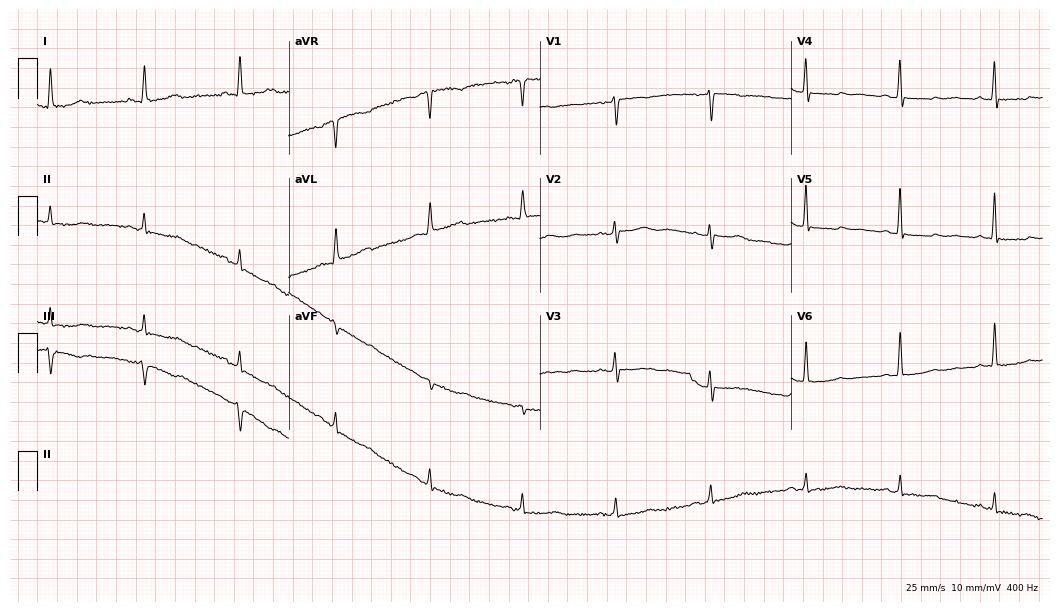
Electrocardiogram (10.2-second recording at 400 Hz), a 68-year-old female. Of the six screened findings (first-degree AV block, right bundle branch block, left bundle branch block, sinus bradycardia, atrial fibrillation, sinus tachycardia), none is recorded. Findings outside these six are not listed.